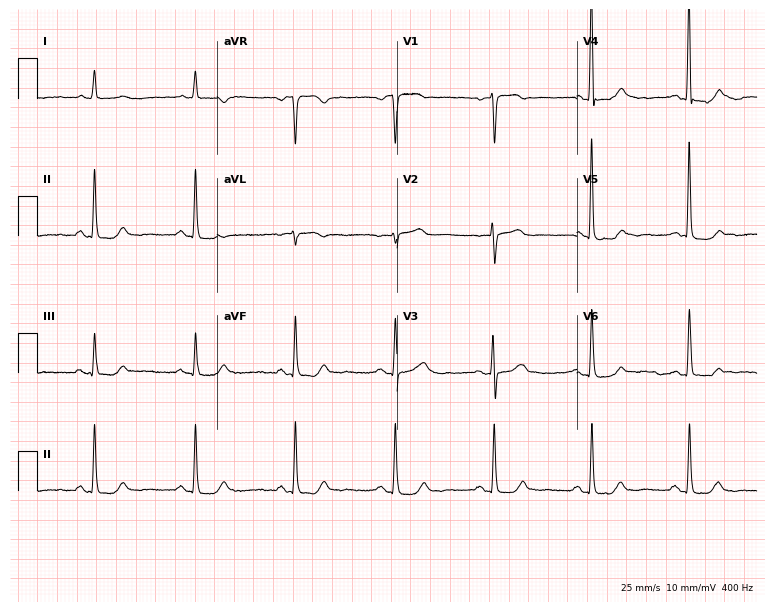
ECG (7.3-second recording at 400 Hz) — a female patient, 73 years old. Screened for six findings — first-degree AV block, right bundle branch block, left bundle branch block, sinus bradycardia, atrial fibrillation, sinus tachycardia — none is recorded. Other findings, if any, are not listed.